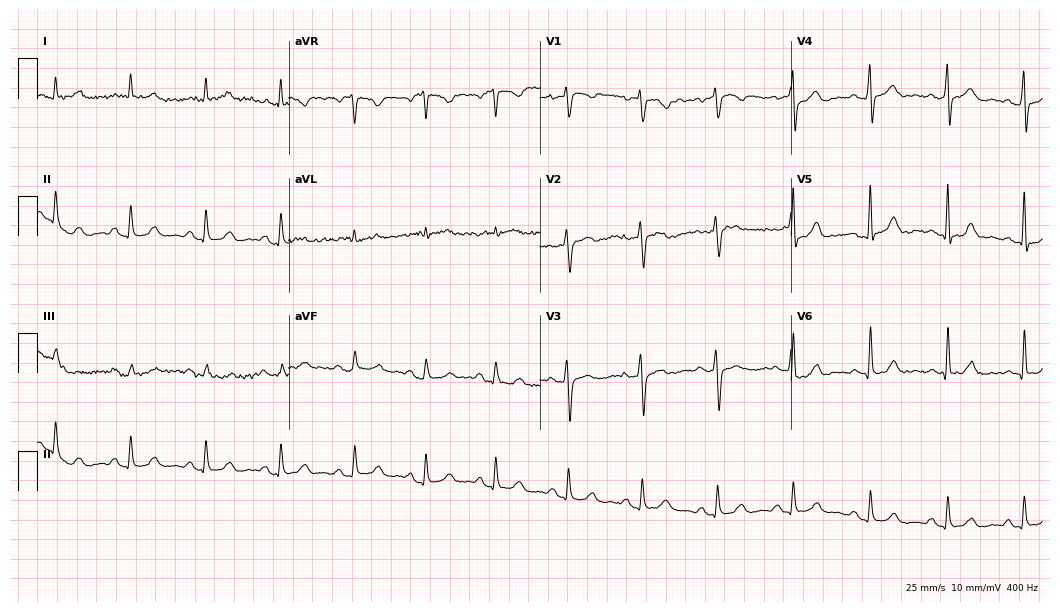
ECG (10.2-second recording at 400 Hz) — a woman, 44 years old. Labelled as a normal ECG.